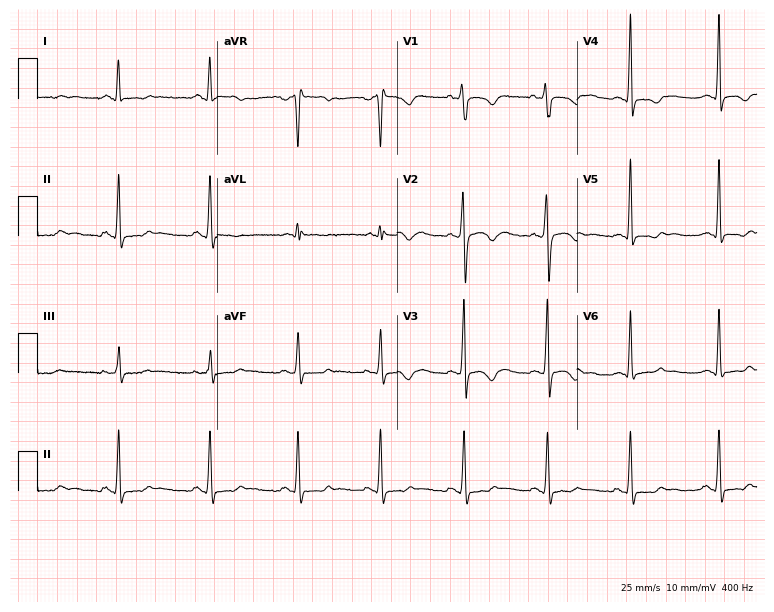
12-lead ECG from a 35-year-old man. Screened for six findings — first-degree AV block, right bundle branch block, left bundle branch block, sinus bradycardia, atrial fibrillation, sinus tachycardia — none is recorded.